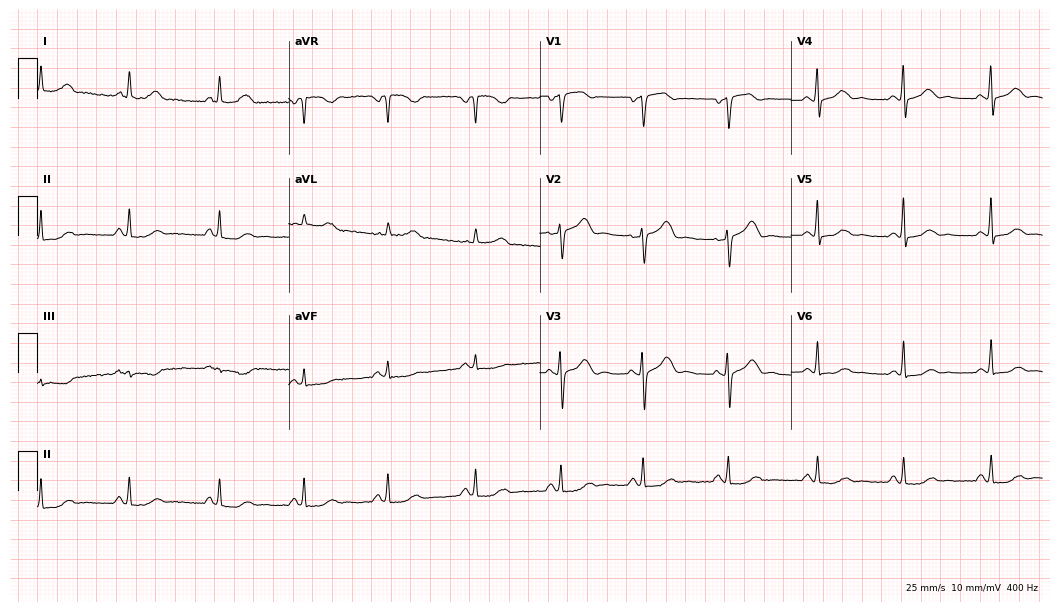
12-lead ECG from a 49-year-old woman (10.2-second recording at 400 Hz). Recorded interpretation: within normal limits.